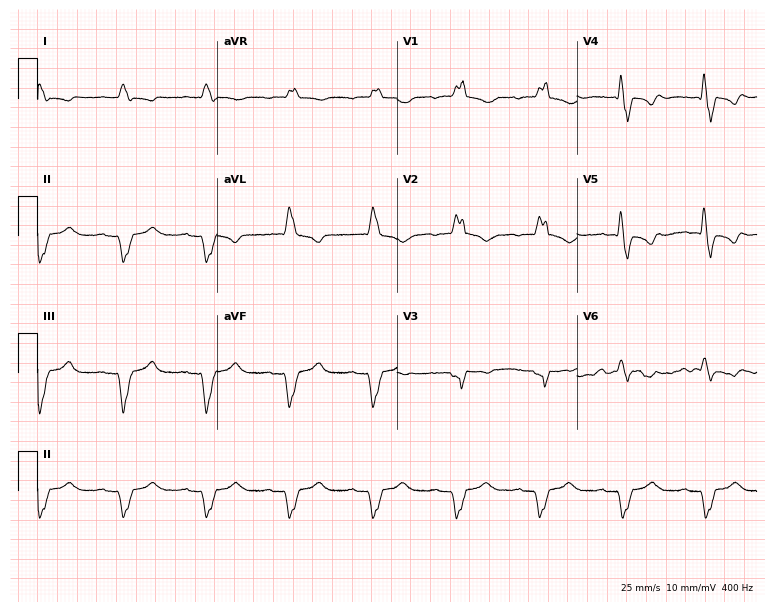
Standard 12-lead ECG recorded from a 59-year-old male (7.3-second recording at 400 Hz). The tracing shows first-degree AV block, right bundle branch block.